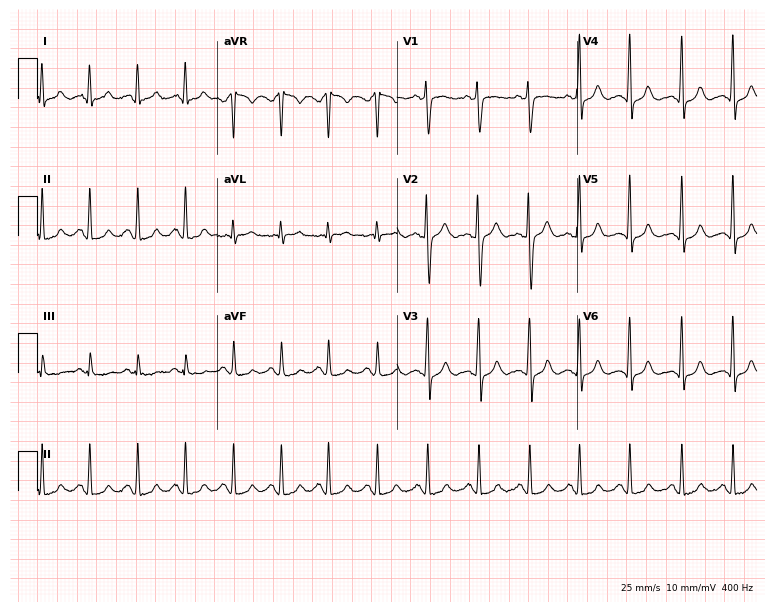
ECG — a 25-year-old female patient. Findings include sinus tachycardia (a sinus rate of 100 beats per minute or more).